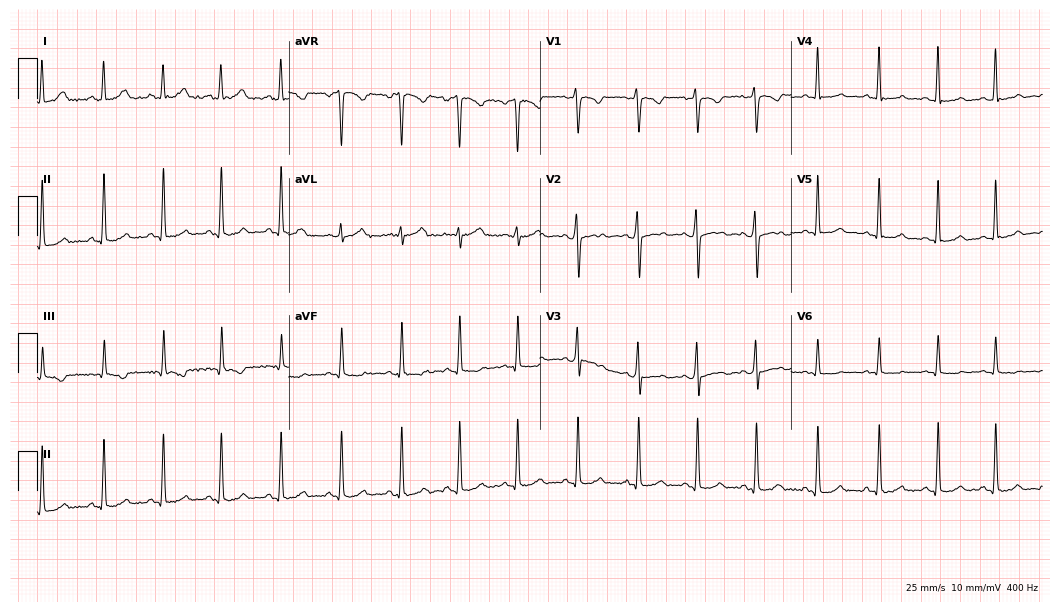
12-lead ECG from a 17-year-old female. Screened for six findings — first-degree AV block, right bundle branch block, left bundle branch block, sinus bradycardia, atrial fibrillation, sinus tachycardia — none is recorded.